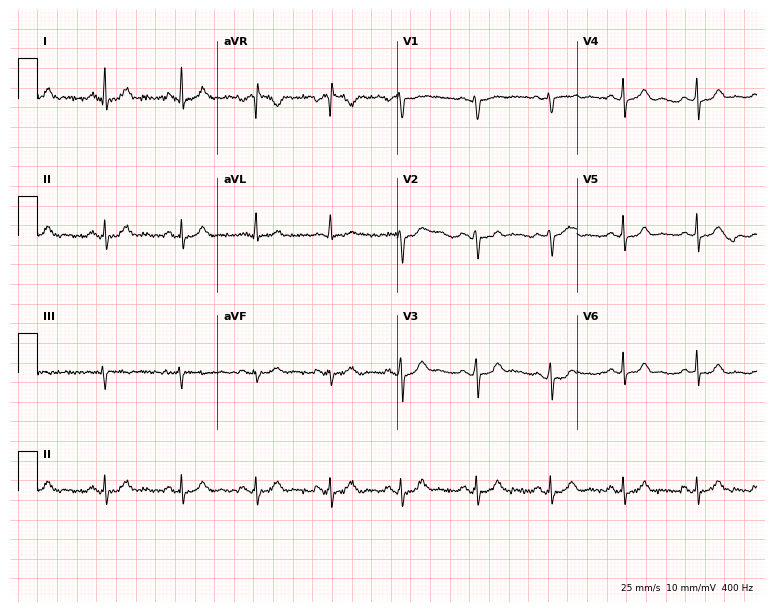
ECG (7.3-second recording at 400 Hz) — a 30-year-old female patient. Labelled as a normal ECG.